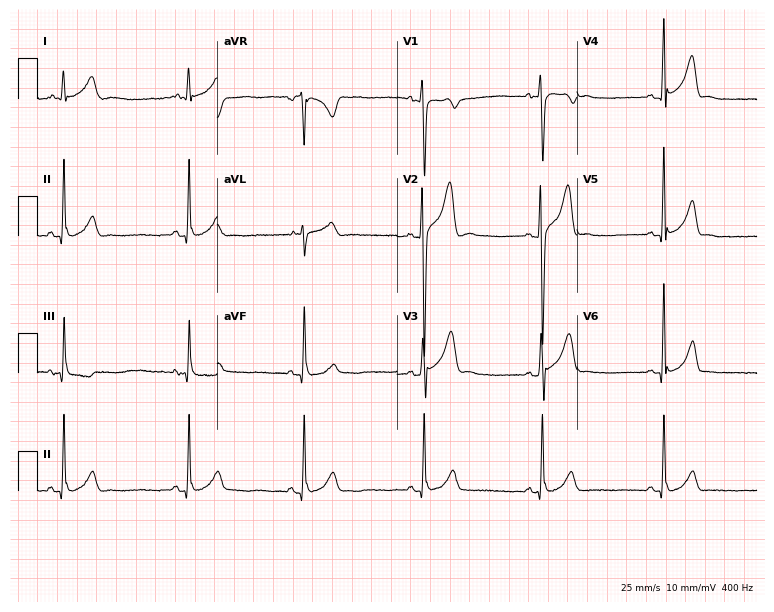
ECG (7.3-second recording at 400 Hz) — a man, 22 years old. Labelled as a normal ECG.